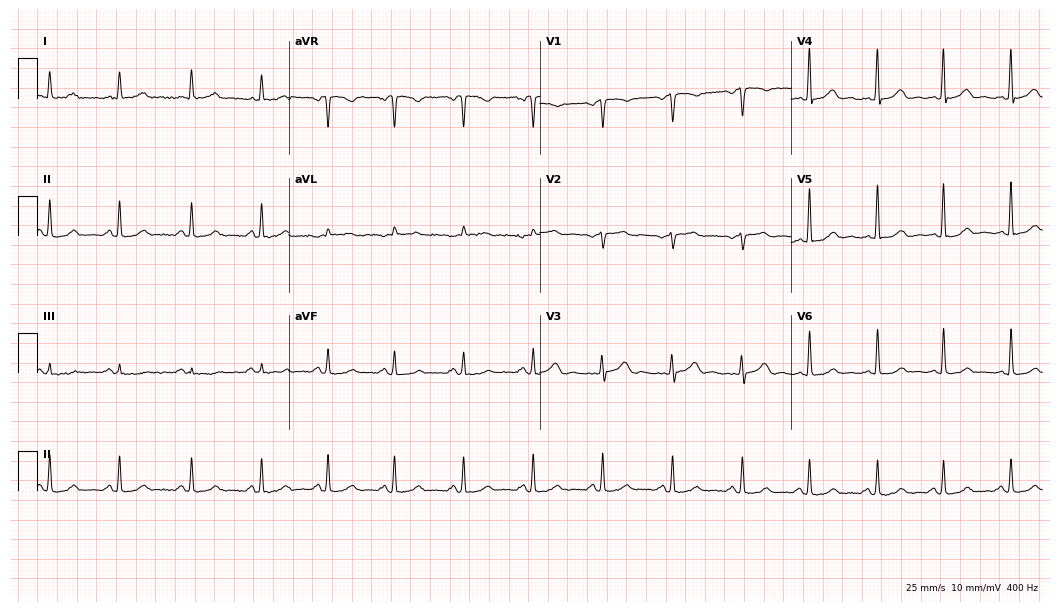
12-lead ECG from a 42-year-old female. Recorded interpretation: within normal limits.